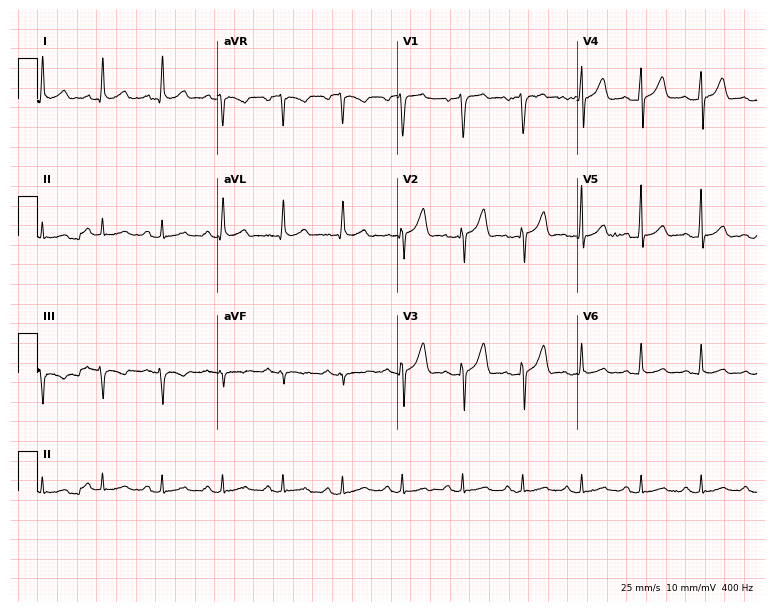
Electrocardiogram (7.3-second recording at 400 Hz), a 51-year-old male. Overall reading on record: normal ECG.